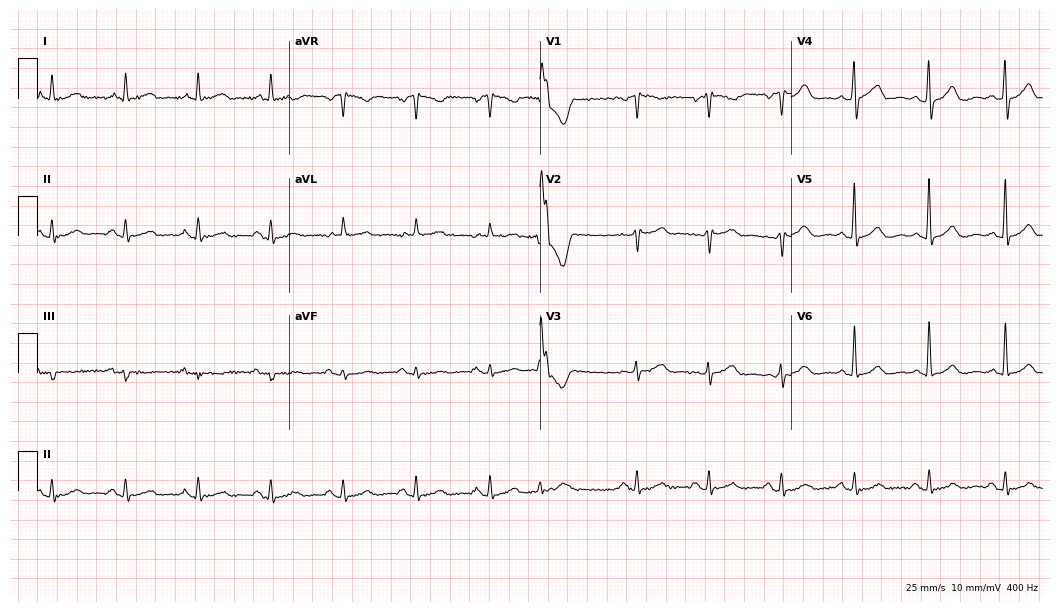
Electrocardiogram (10.2-second recording at 400 Hz), an 84-year-old male. Of the six screened findings (first-degree AV block, right bundle branch block (RBBB), left bundle branch block (LBBB), sinus bradycardia, atrial fibrillation (AF), sinus tachycardia), none is recorded. Other findings, if any, are not listed.